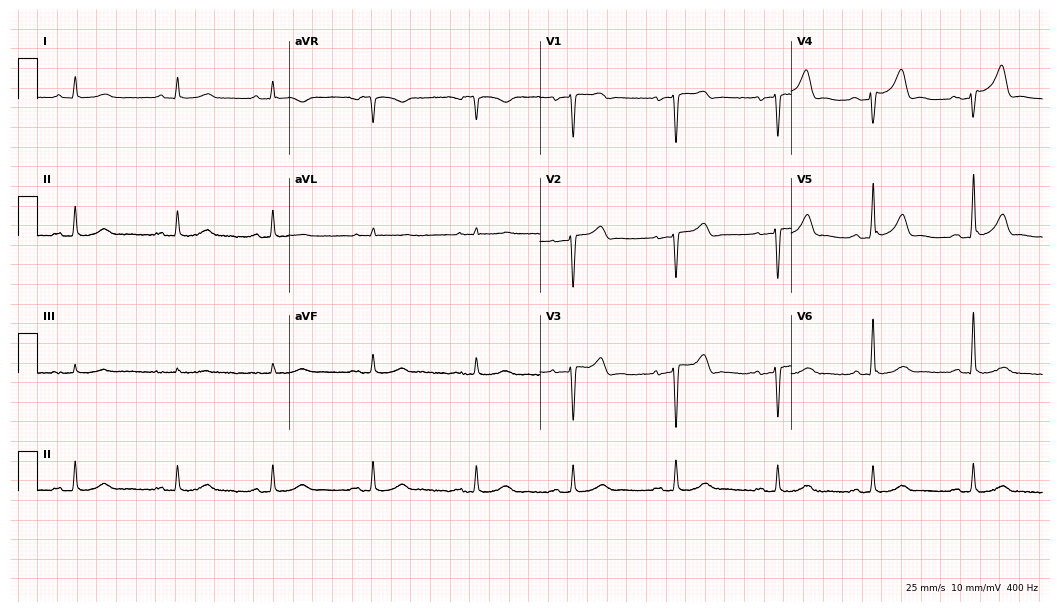
Resting 12-lead electrocardiogram. Patient: a male, 68 years old. Read as a normal ECG.